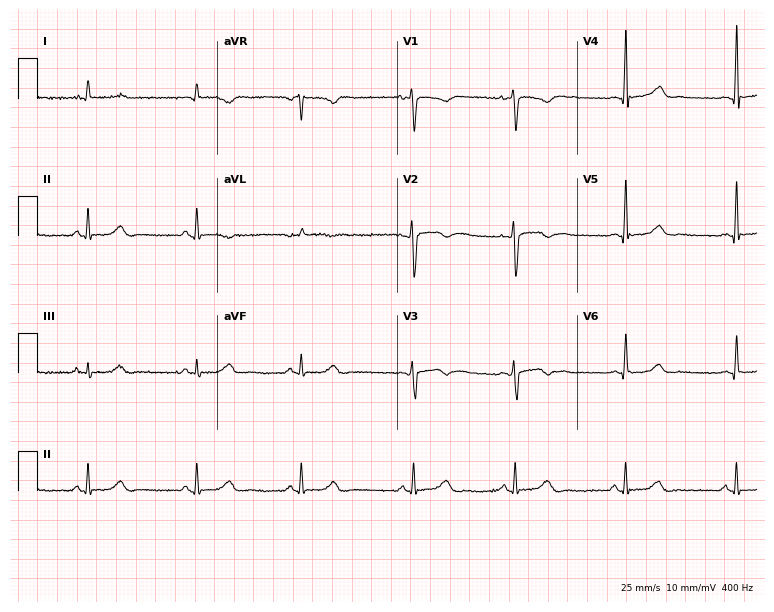
ECG (7.3-second recording at 400 Hz) — a female patient, 29 years old. Screened for six findings — first-degree AV block, right bundle branch block, left bundle branch block, sinus bradycardia, atrial fibrillation, sinus tachycardia — none is recorded. Findings outside these six are not listed.